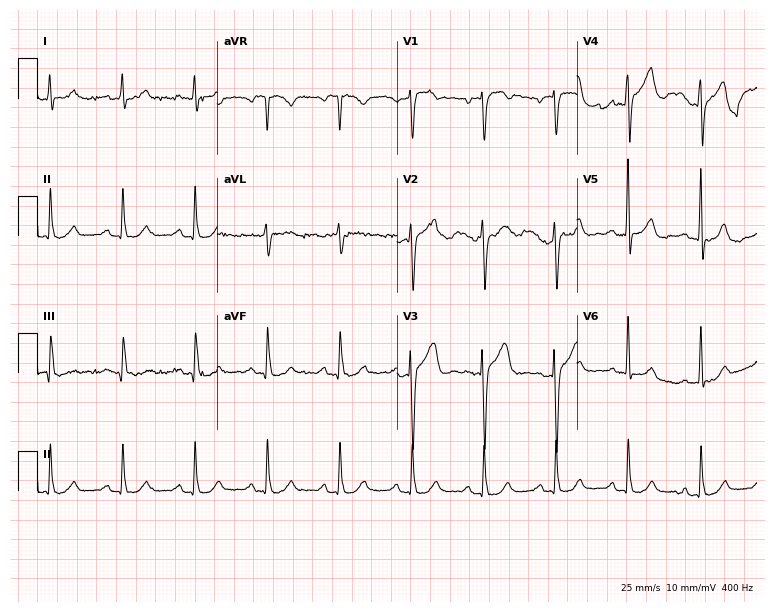
12-lead ECG from an 81-year-old male patient. Labelled as a normal ECG.